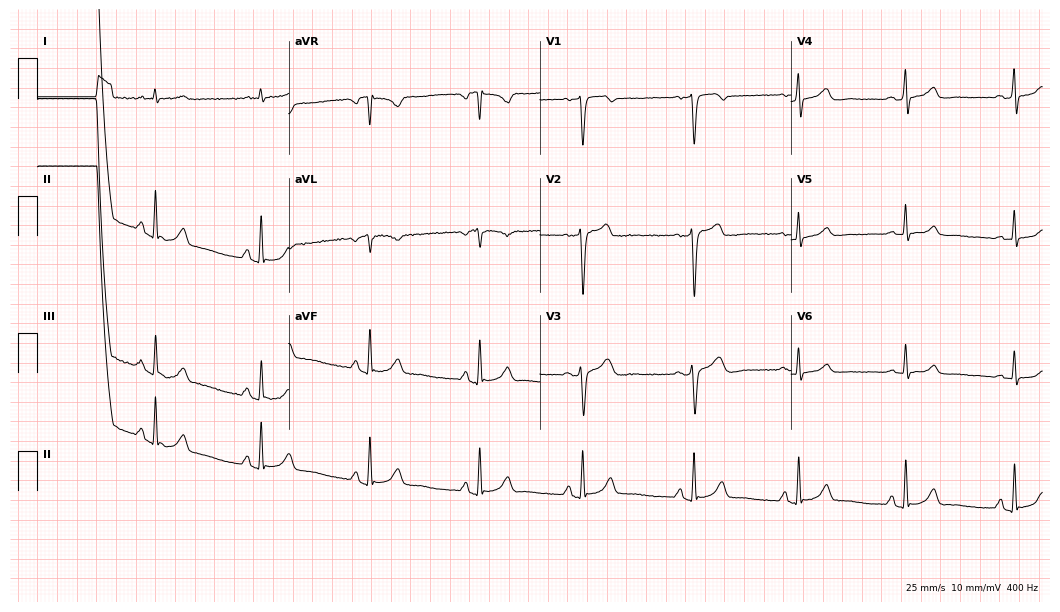
ECG (10.2-second recording at 400 Hz) — a man, 42 years old. Labelled as a normal ECG.